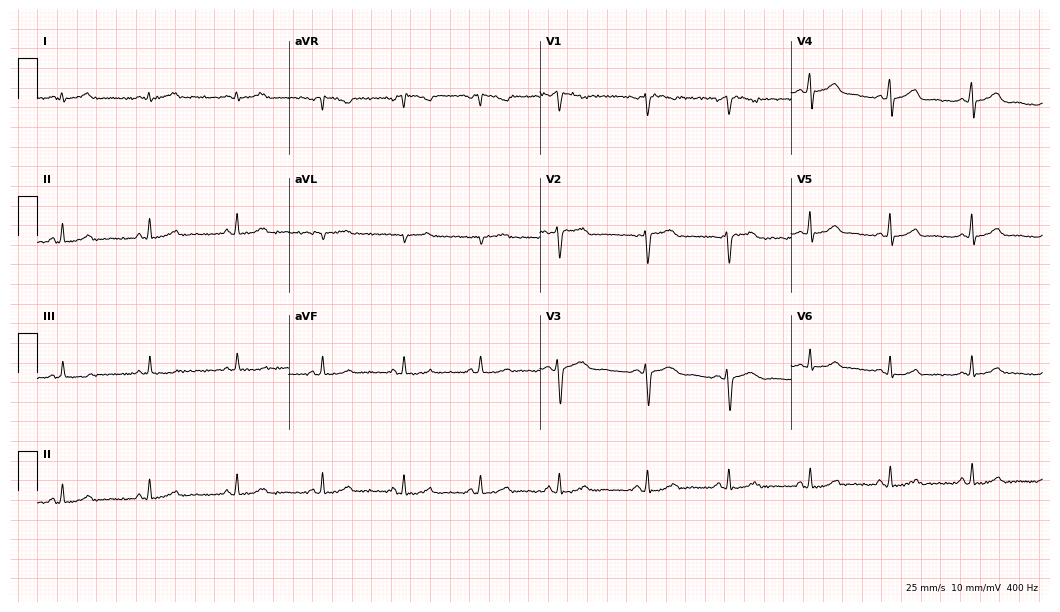
Electrocardiogram, a woman, 36 years old. Overall reading on record: normal ECG.